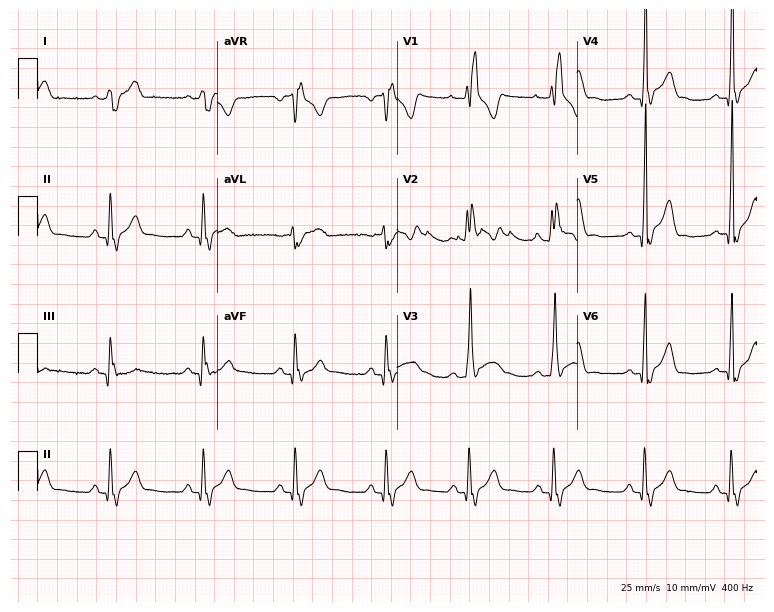
Electrocardiogram, a female patient, 29 years old. Of the six screened findings (first-degree AV block, right bundle branch block (RBBB), left bundle branch block (LBBB), sinus bradycardia, atrial fibrillation (AF), sinus tachycardia), none is recorded. Findings outside these six are not listed.